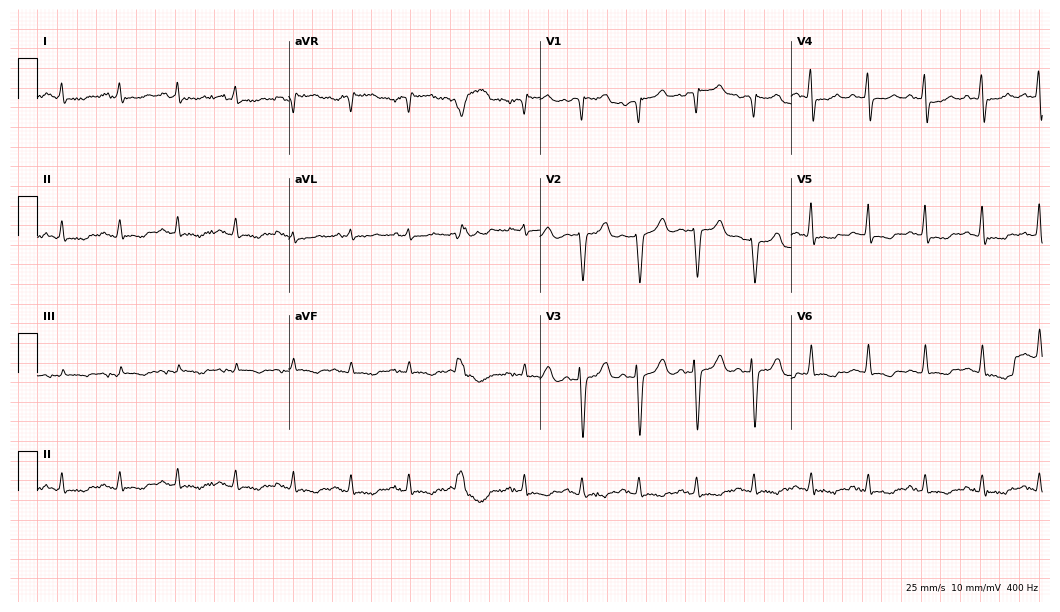
Electrocardiogram (10.2-second recording at 400 Hz), a male, 74 years old. Interpretation includes sinus tachycardia (a sinus rate of 100 beats per minute or more).